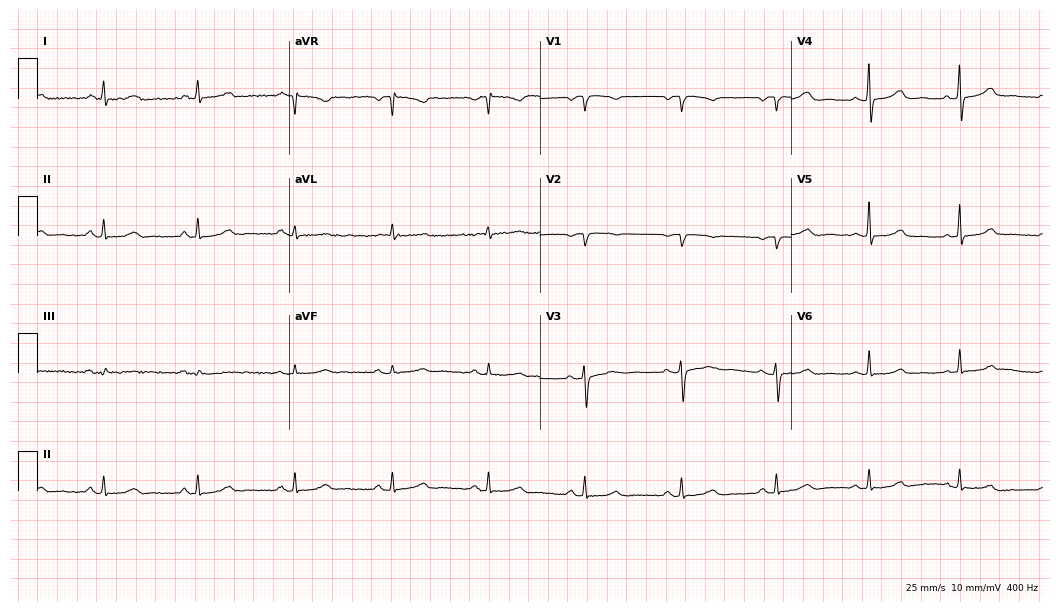
Standard 12-lead ECG recorded from a 64-year-old woman (10.2-second recording at 400 Hz). Read as a normal ECG.